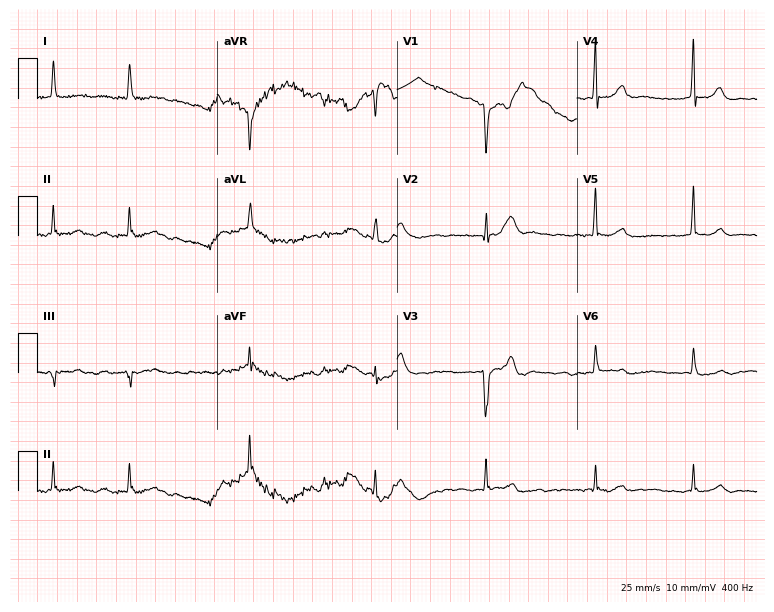
Standard 12-lead ECG recorded from a 76-year-old female. The tracing shows atrial fibrillation (AF).